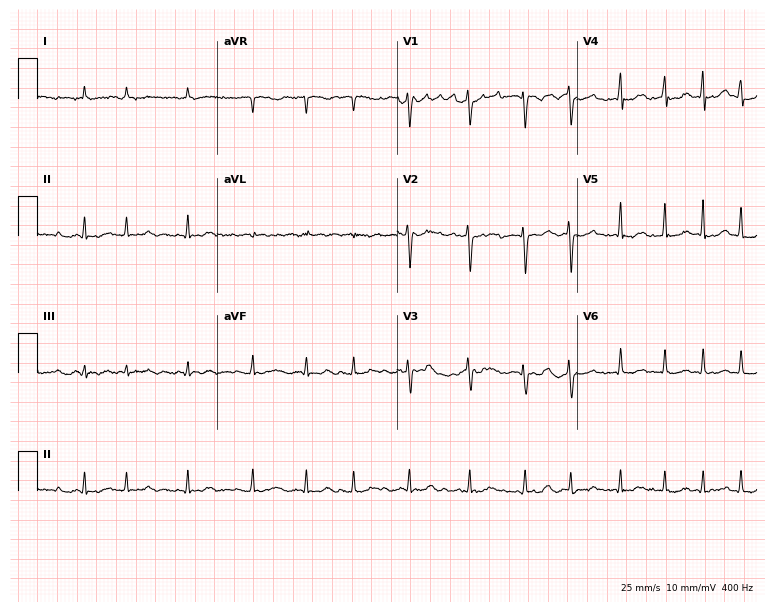
Resting 12-lead electrocardiogram. Patient: a female, 81 years old. The tracing shows atrial fibrillation.